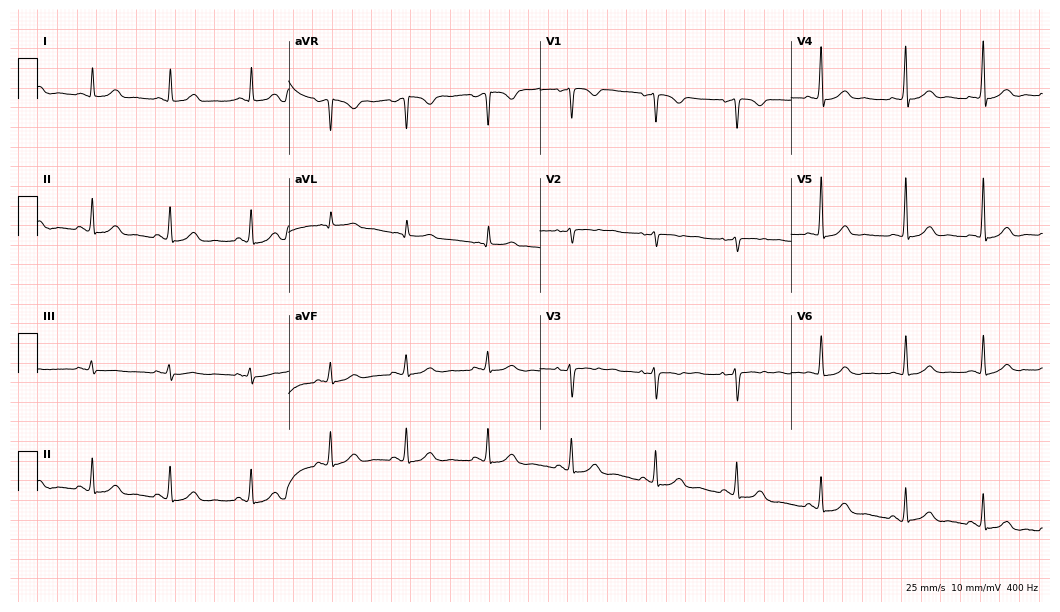
ECG — a female patient, 33 years old. Labelled as a normal ECG.